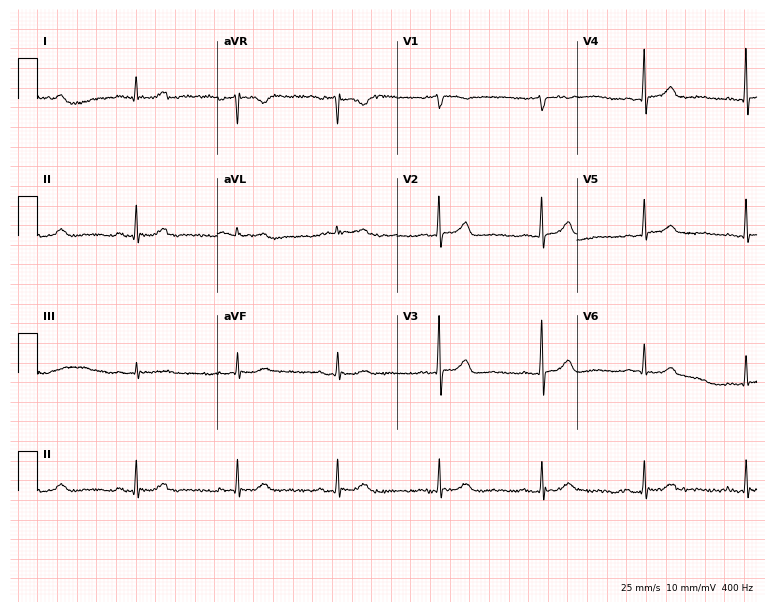
ECG — a 76-year-old woman. Labelled as a normal ECG.